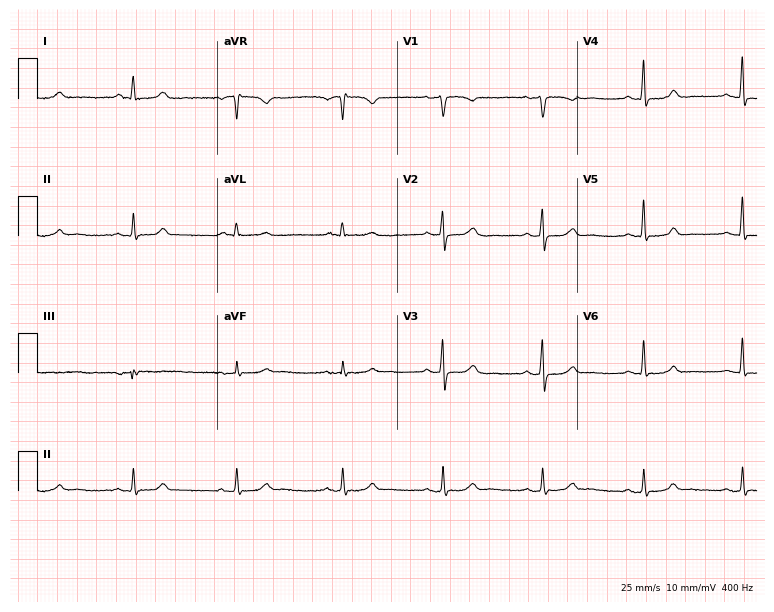
Resting 12-lead electrocardiogram. Patient: a 61-year-old female. Read as a normal ECG.